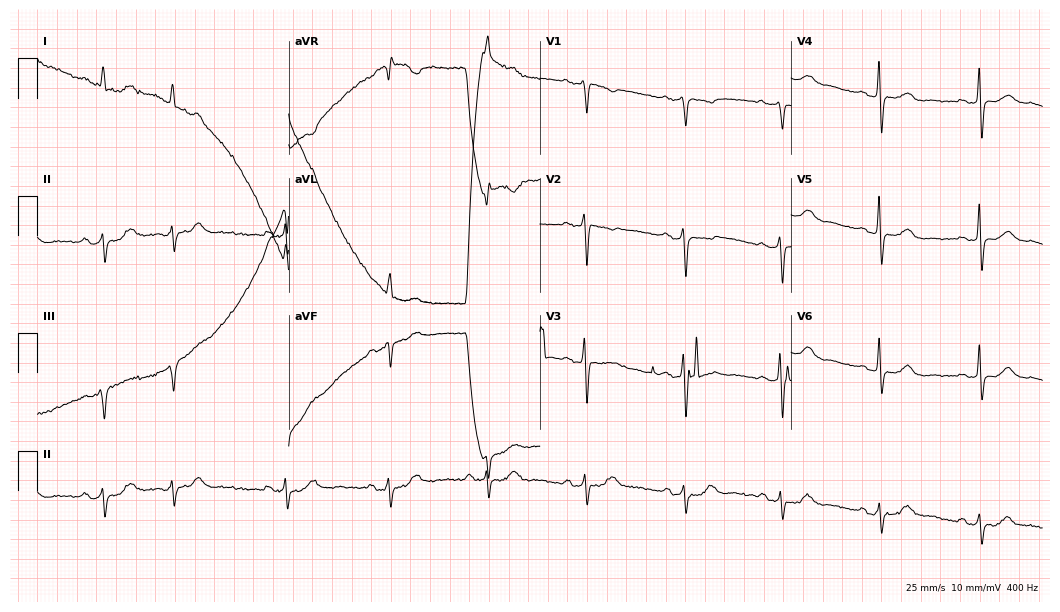
Standard 12-lead ECG recorded from a 68-year-old female. None of these six findings is recorded: first-degree AV block, right bundle branch block, left bundle branch block, sinus bradycardia, atrial fibrillation, sinus tachycardia.